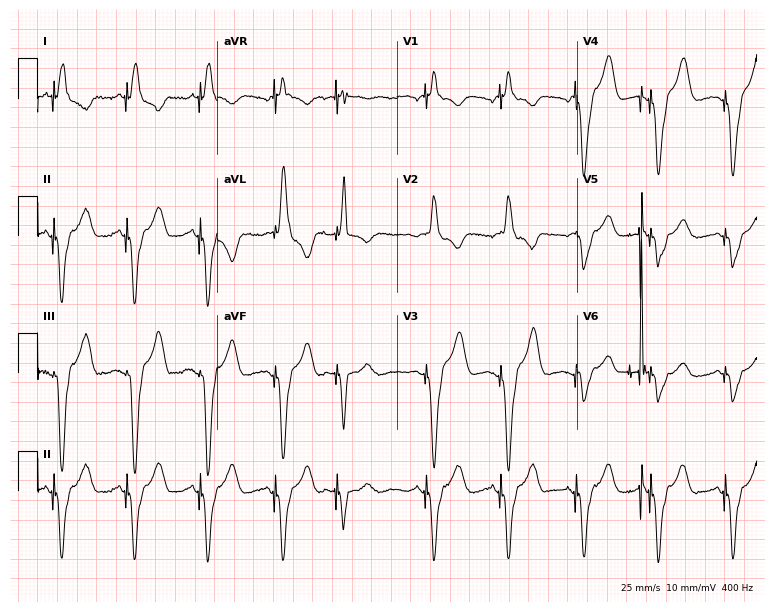
ECG — a woman, 80 years old. Screened for six findings — first-degree AV block, right bundle branch block (RBBB), left bundle branch block (LBBB), sinus bradycardia, atrial fibrillation (AF), sinus tachycardia — none is recorded.